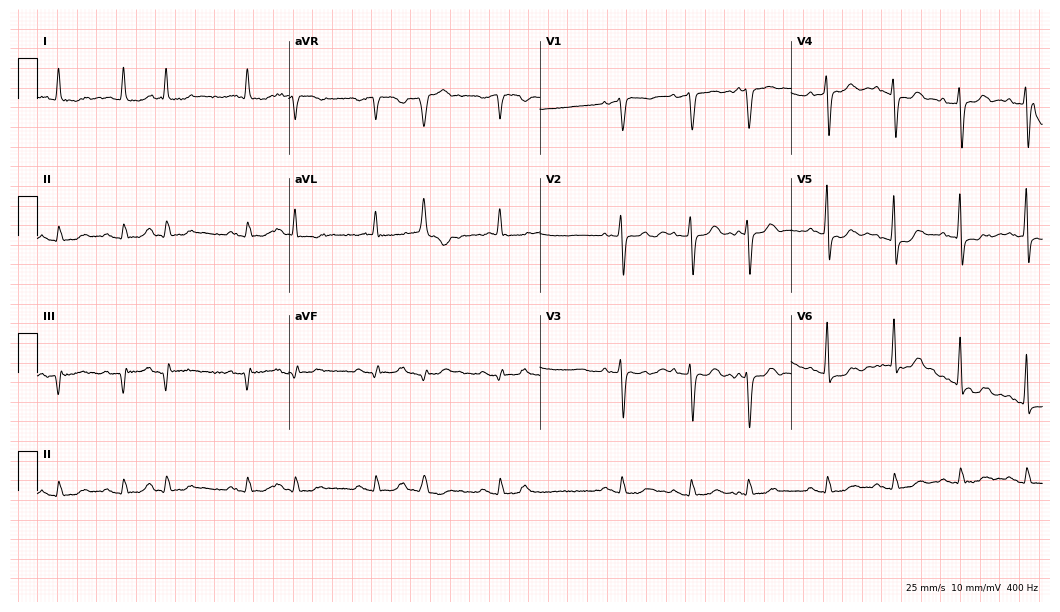
12-lead ECG from an 80-year-old male (10.2-second recording at 400 Hz). No first-degree AV block, right bundle branch block, left bundle branch block, sinus bradycardia, atrial fibrillation or sinus tachycardia recorded for this tracing. Findings outside these six are not listed.